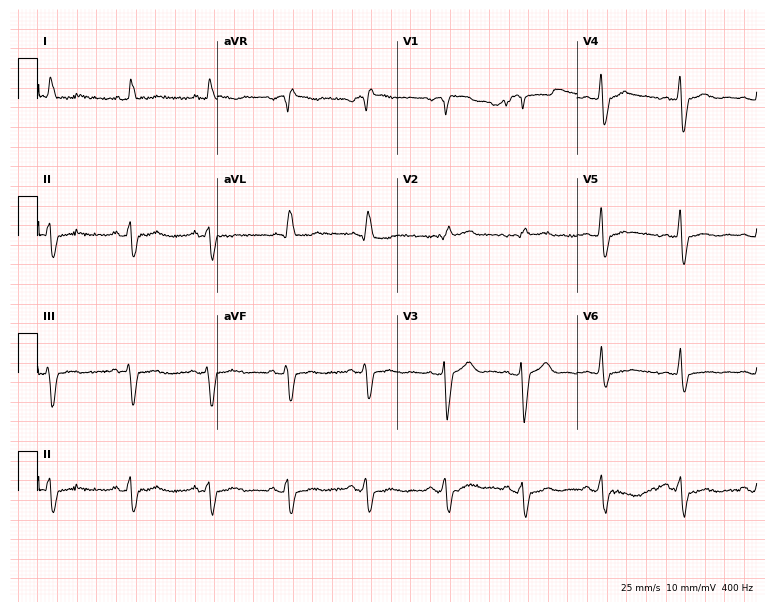
12-lead ECG from a male patient, 69 years old. Findings include right bundle branch block.